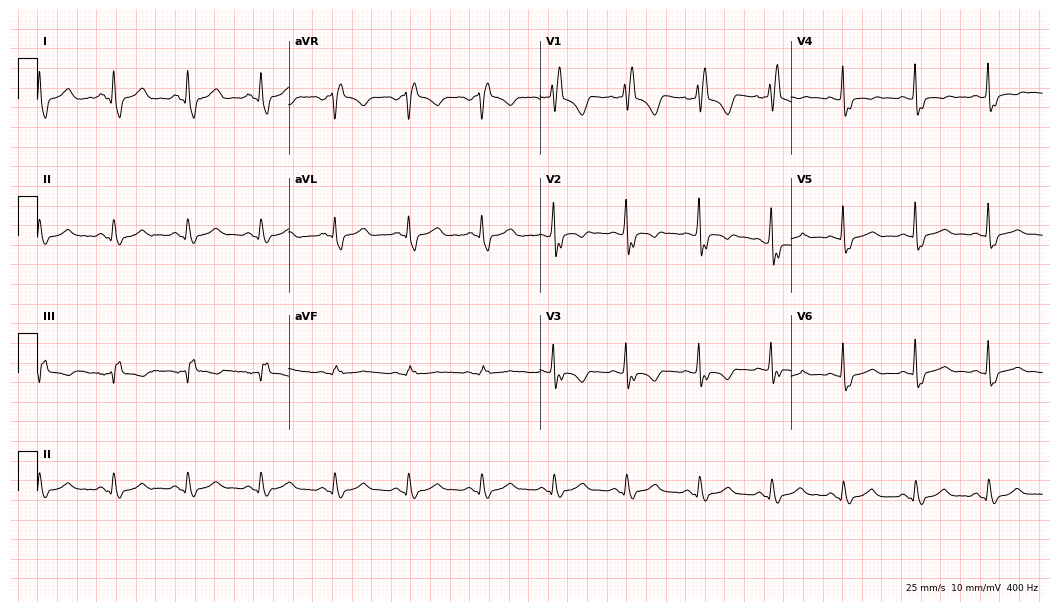
12-lead ECG from a woman, 49 years old. Findings include right bundle branch block.